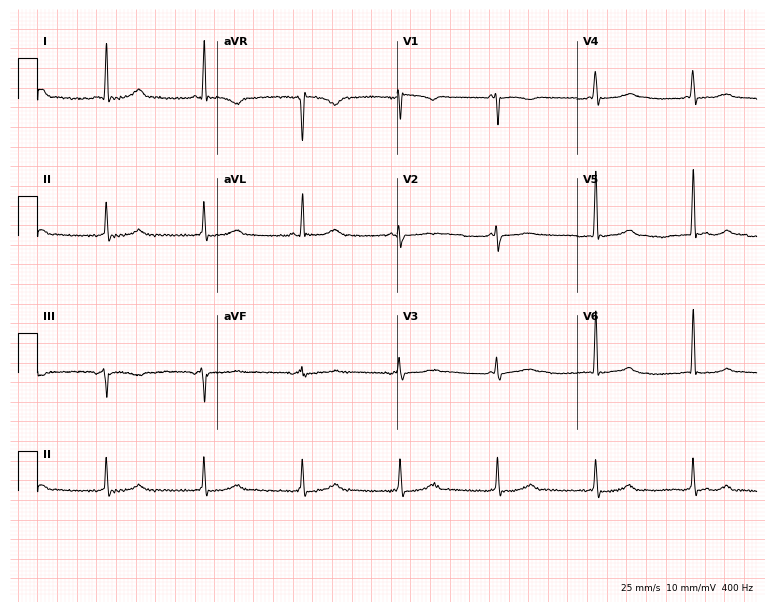
Standard 12-lead ECG recorded from a woman, 57 years old (7.3-second recording at 400 Hz). None of these six findings is recorded: first-degree AV block, right bundle branch block, left bundle branch block, sinus bradycardia, atrial fibrillation, sinus tachycardia. Other findings, if any, are not listed.